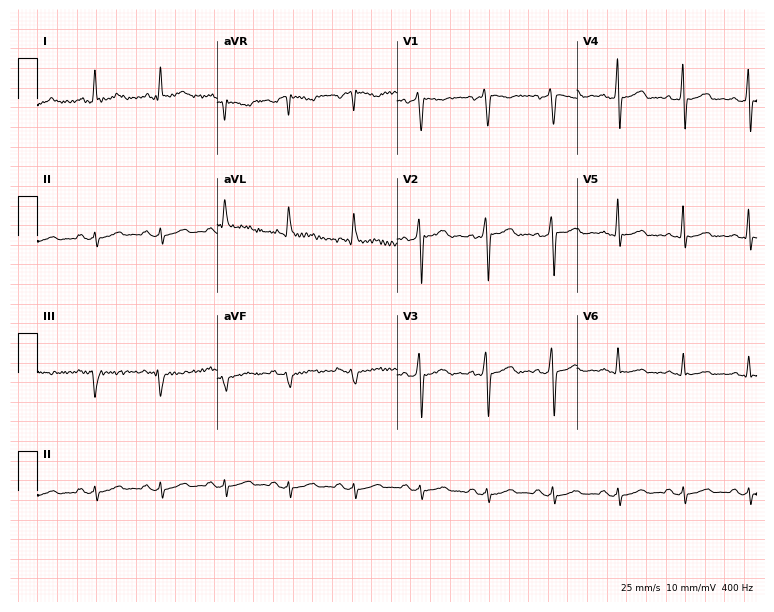
Electrocardiogram (7.3-second recording at 400 Hz), a 58-year-old male patient. Of the six screened findings (first-degree AV block, right bundle branch block, left bundle branch block, sinus bradycardia, atrial fibrillation, sinus tachycardia), none is recorded. Findings outside these six are not listed.